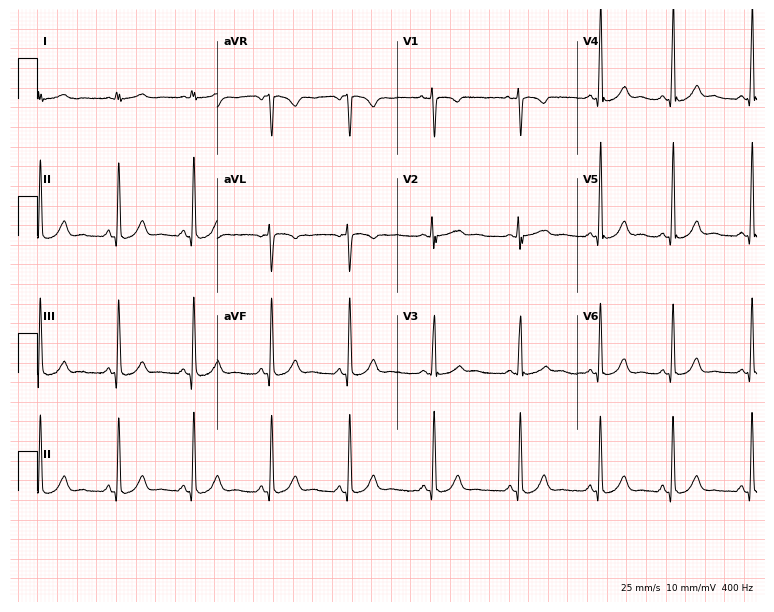
Resting 12-lead electrocardiogram (7.3-second recording at 400 Hz). Patient: a 30-year-old female. None of these six findings is recorded: first-degree AV block, right bundle branch block, left bundle branch block, sinus bradycardia, atrial fibrillation, sinus tachycardia. Other findings, if any, are not listed.